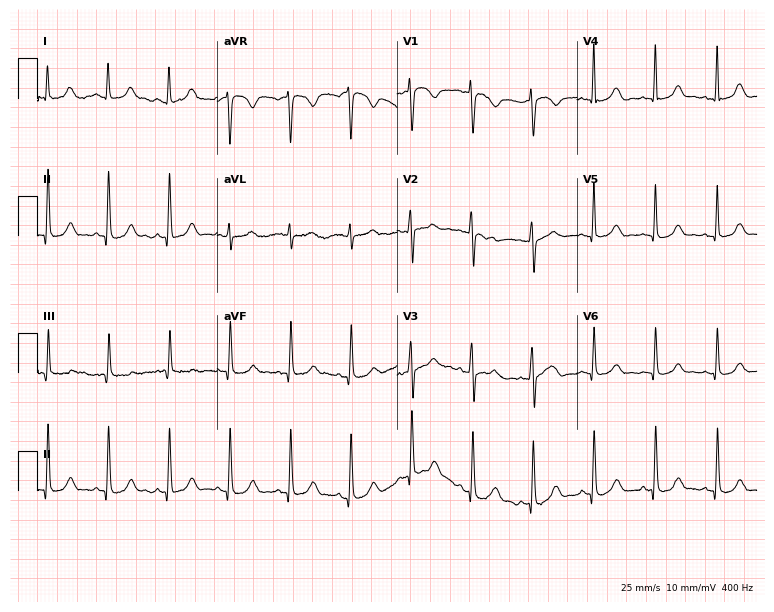
ECG — a female patient, 29 years old. Labelled as a normal ECG.